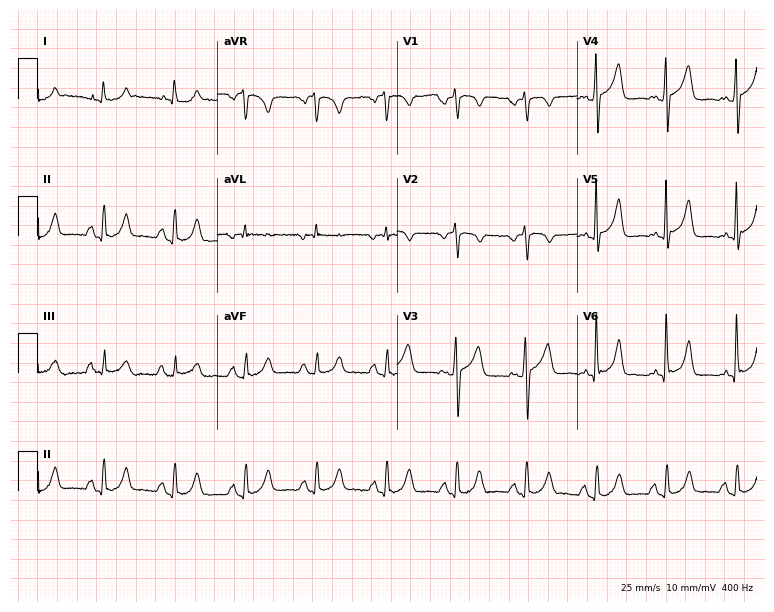
Standard 12-lead ECG recorded from a 64-year-old man (7.3-second recording at 400 Hz). None of these six findings is recorded: first-degree AV block, right bundle branch block (RBBB), left bundle branch block (LBBB), sinus bradycardia, atrial fibrillation (AF), sinus tachycardia. Other findings, if any, are not listed.